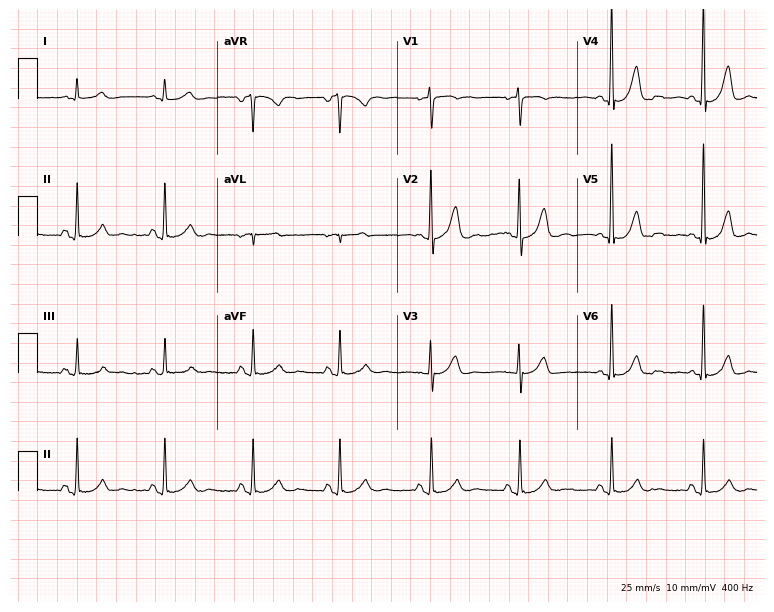
12-lead ECG (7.3-second recording at 400 Hz) from a 53-year-old female. Labelled as a normal ECG.